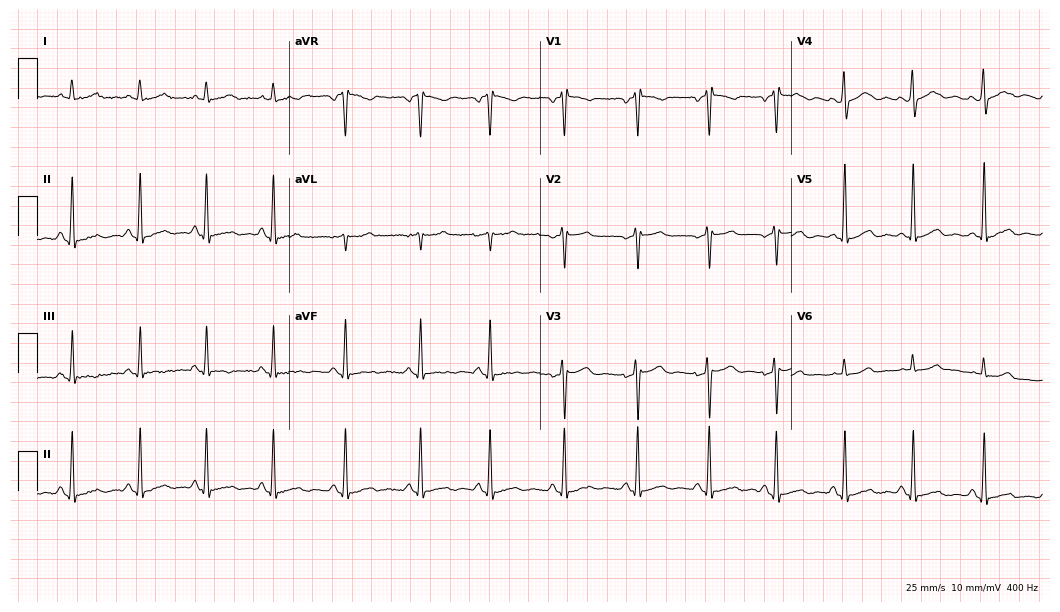
Standard 12-lead ECG recorded from a female patient, 37 years old (10.2-second recording at 400 Hz). None of these six findings is recorded: first-degree AV block, right bundle branch block (RBBB), left bundle branch block (LBBB), sinus bradycardia, atrial fibrillation (AF), sinus tachycardia. Findings outside these six are not listed.